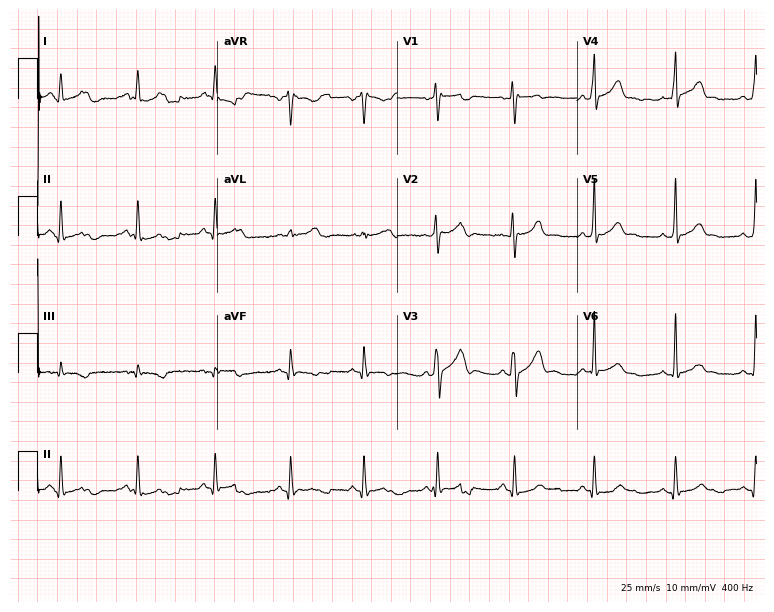
12-lead ECG from a 32-year-old man. Screened for six findings — first-degree AV block, right bundle branch block, left bundle branch block, sinus bradycardia, atrial fibrillation, sinus tachycardia — none is recorded. Other findings, if any, are not listed.